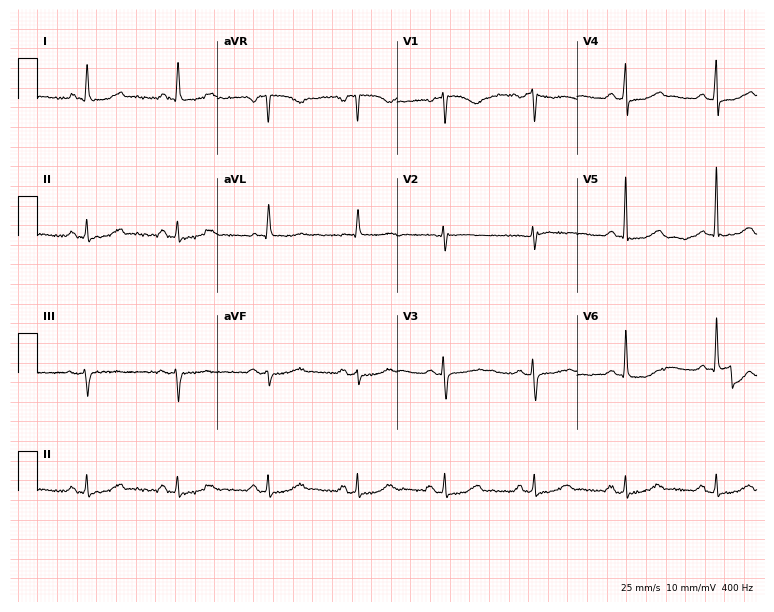
ECG — a 57-year-old female. Labelled as a normal ECG.